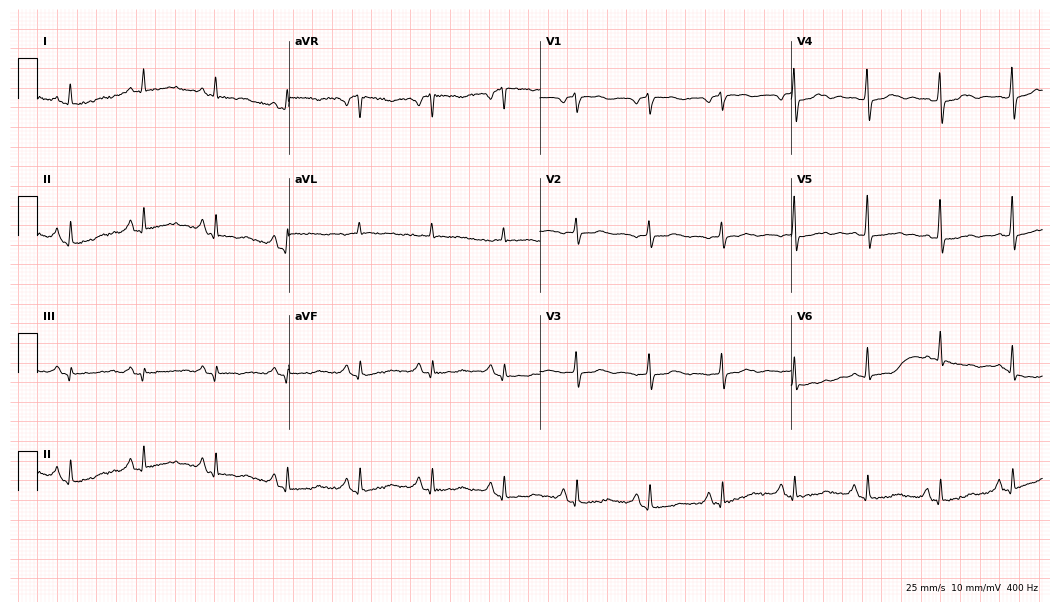
Electrocardiogram (10.2-second recording at 400 Hz), an 82-year-old woman. Of the six screened findings (first-degree AV block, right bundle branch block, left bundle branch block, sinus bradycardia, atrial fibrillation, sinus tachycardia), none is recorded. Findings outside these six are not listed.